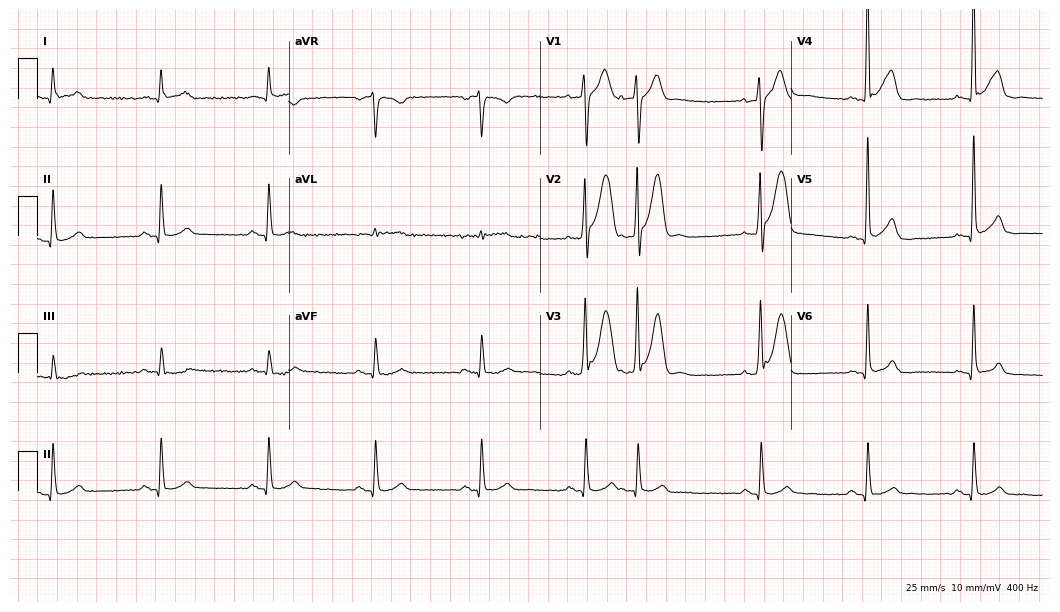
ECG (10.2-second recording at 400 Hz) — a 75-year-old male patient. Labelled as a normal ECG.